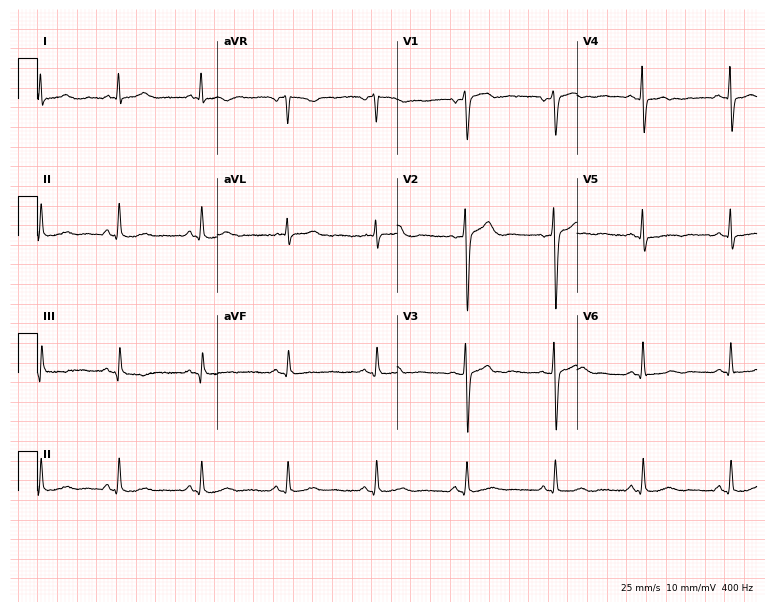
ECG — a male, 52 years old. Screened for six findings — first-degree AV block, right bundle branch block, left bundle branch block, sinus bradycardia, atrial fibrillation, sinus tachycardia — none is recorded.